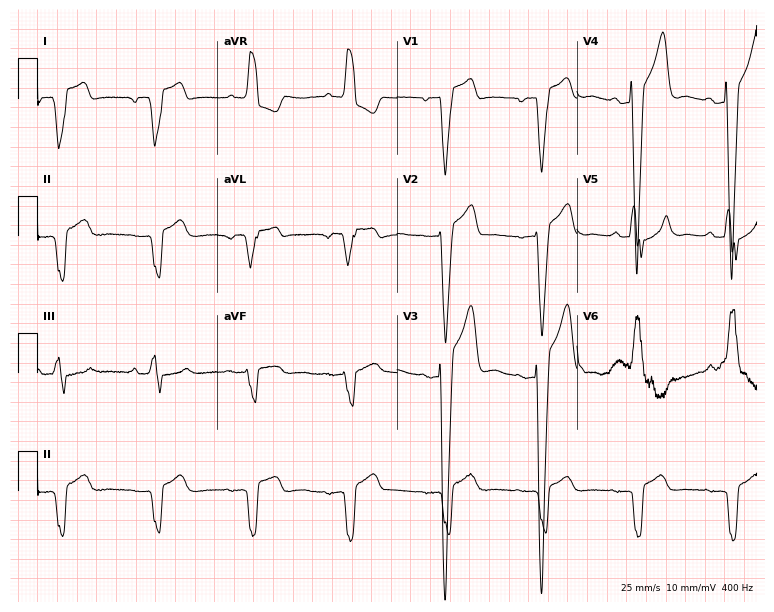
ECG — a woman, 80 years old. Screened for six findings — first-degree AV block, right bundle branch block, left bundle branch block, sinus bradycardia, atrial fibrillation, sinus tachycardia — none is recorded. Only these six findings were labelled.